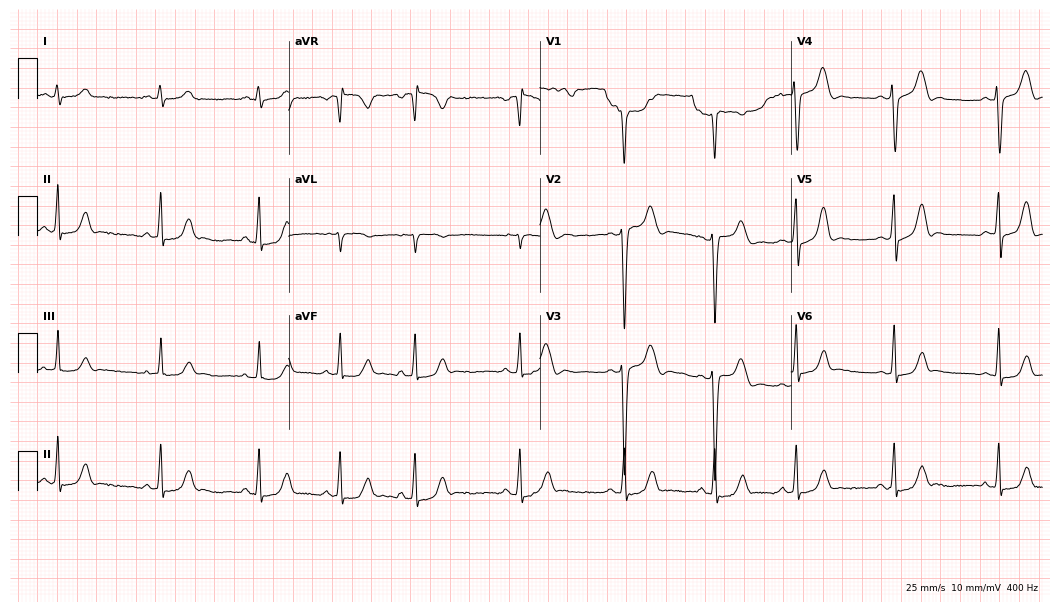
ECG (10.2-second recording at 400 Hz) — a female, 17 years old. Labelled as a normal ECG.